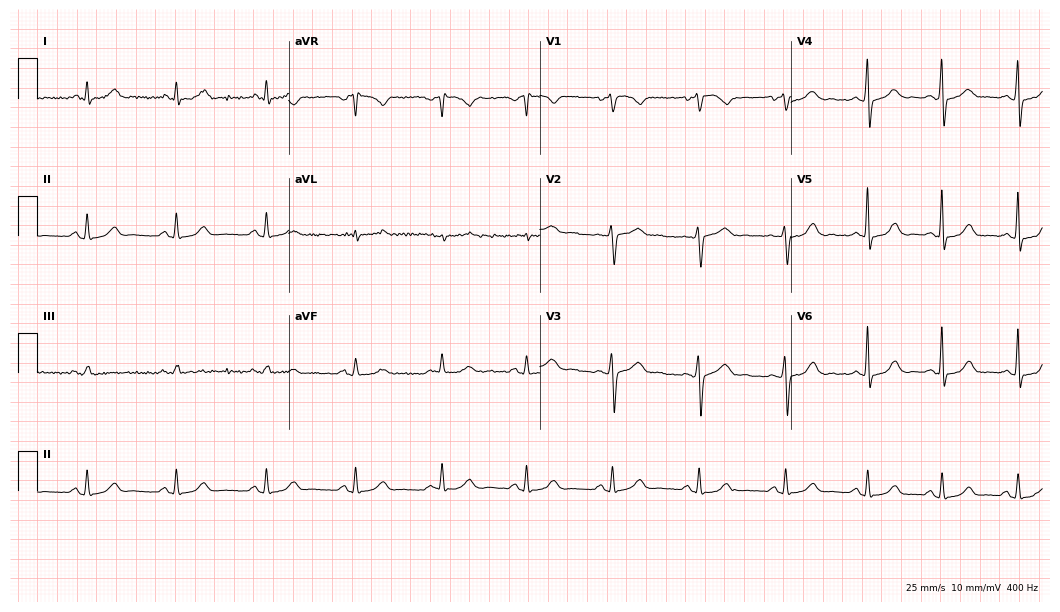
Electrocardiogram, a 41-year-old woman. Of the six screened findings (first-degree AV block, right bundle branch block, left bundle branch block, sinus bradycardia, atrial fibrillation, sinus tachycardia), none is recorded.